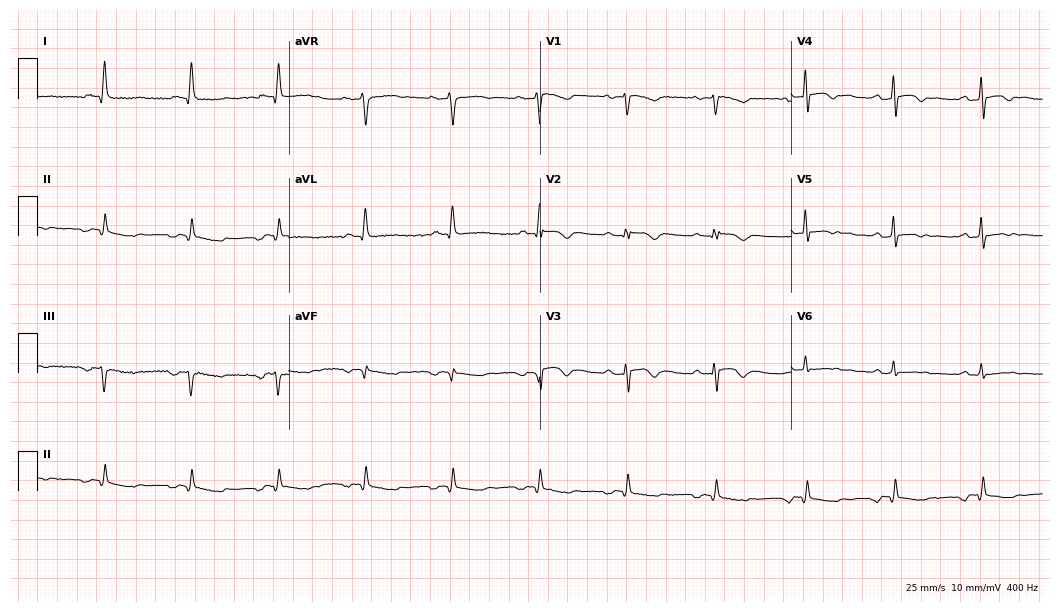
12-lead ECG from a female patient, 53 years old. No first-degree AV block, right bundle branch block (RBBB), left bundle branch block (LBBB), sinus bradycardia, atrial fibrillation (AF) or sinus tachycardia recorded for this tracing.